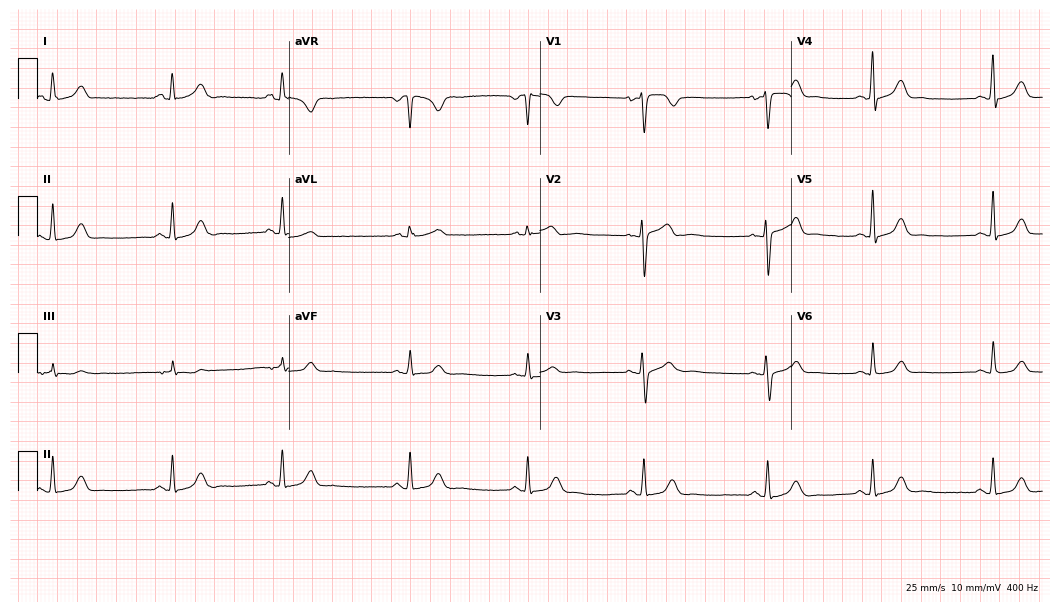
12-lead ECG (10.2-second recording at 400 Hz) from a 30-year-old female. Labelled as a normal ECG.